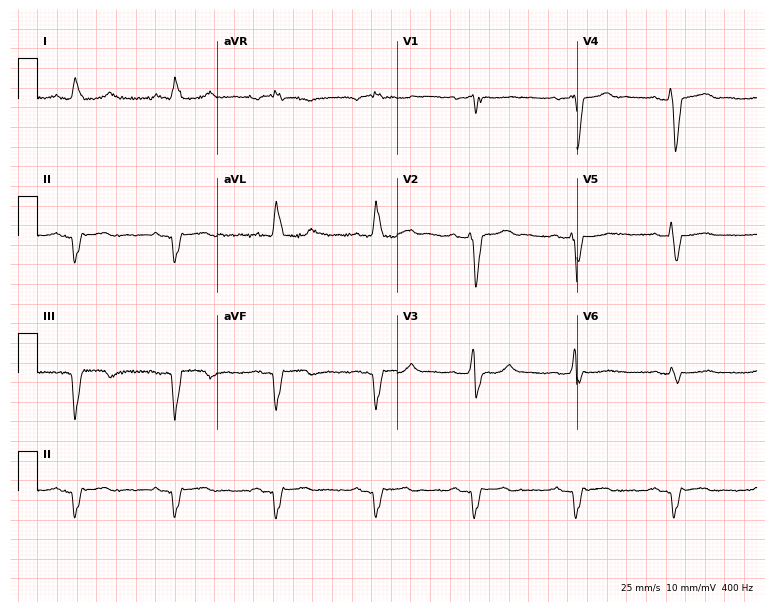
12-lead ECG from a male, 79 years old. Shows left bundle branch block (LBBB).